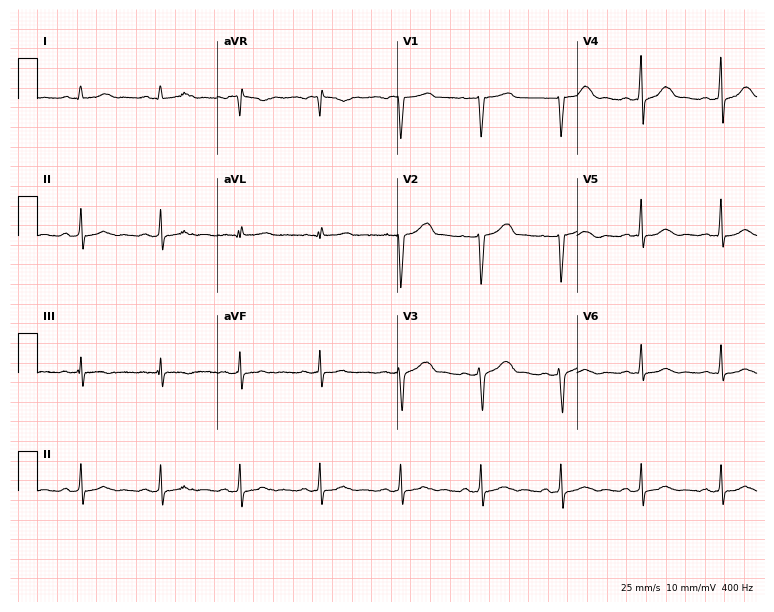
Electrocardiogram, a 36-year-old female patient. Of the six screened findings (first-degree AV block, right bundle branch block (RBBB), left bundle branch block (LBBB), sinus bradycardia, atrial fibrillation (AF), sinus tachycardia), none is recorded.